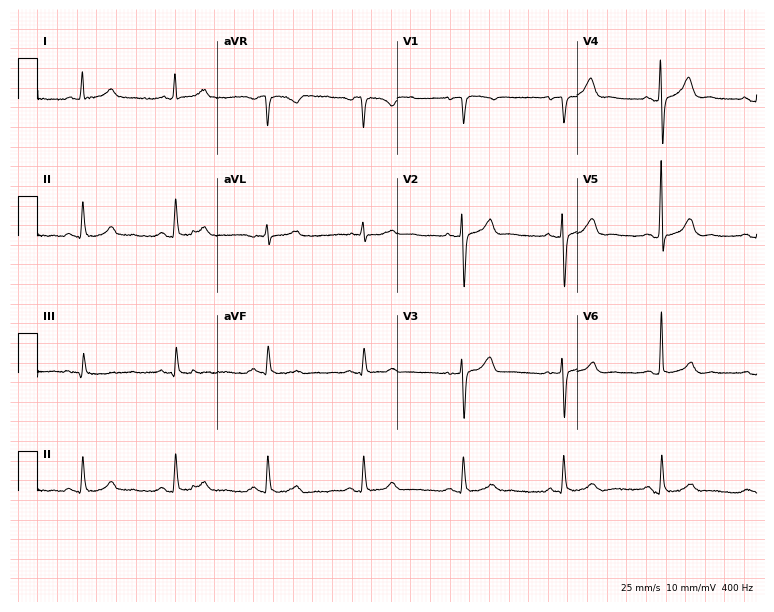
12-lead ECG from a male patient, 64 years old. Labelled as a normal ECG.